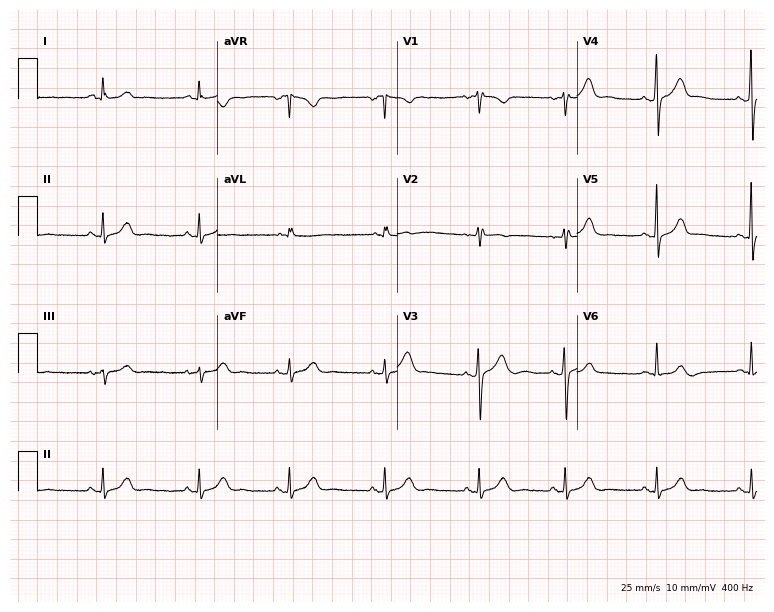
Resting 12-lead electrocardiogram (7.3-second recording at 400 Hz). Patient: a 33-year-old female. Read as a normal ECG.